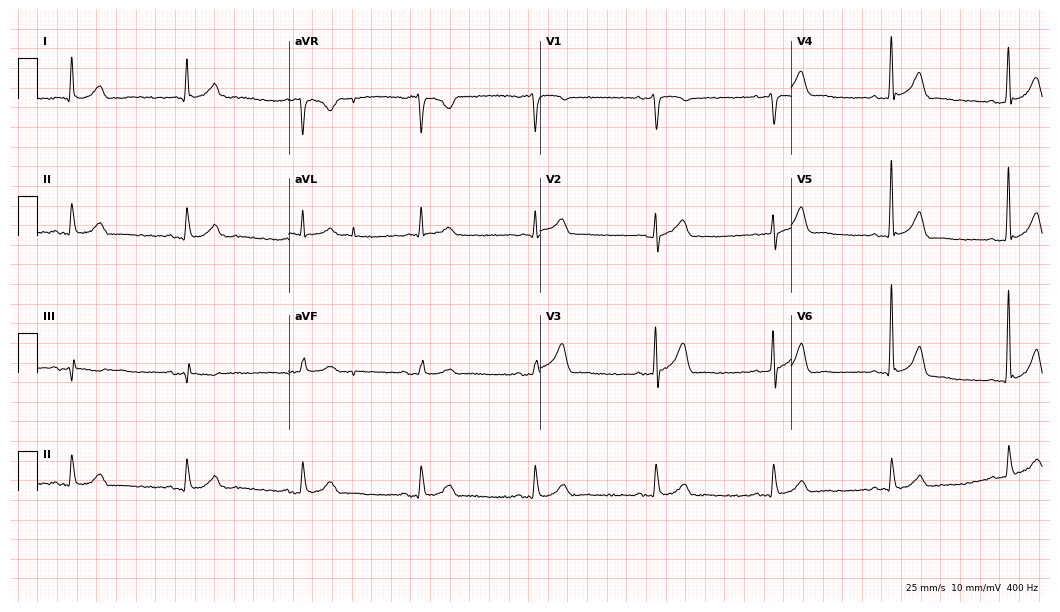
Standard 12-lead ECG recorded from a 70-year-old male patient (10.2-second recording at 400 Hz). Read as a normal ECG.